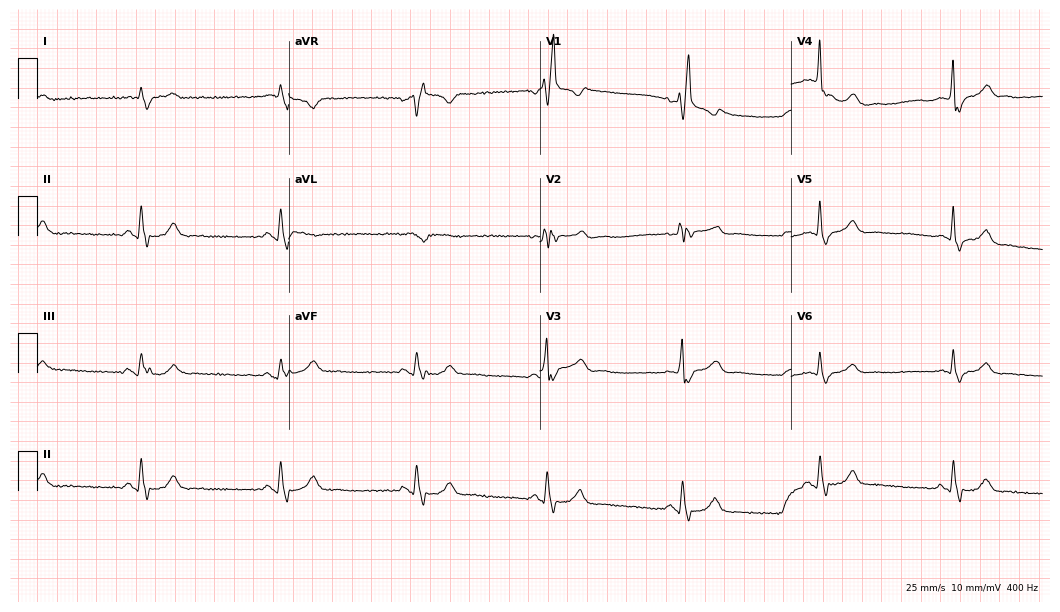
Resting 12-lead electrocardiogram. Patient: a male, 72 years old. The tracing shows right bundle branch block.